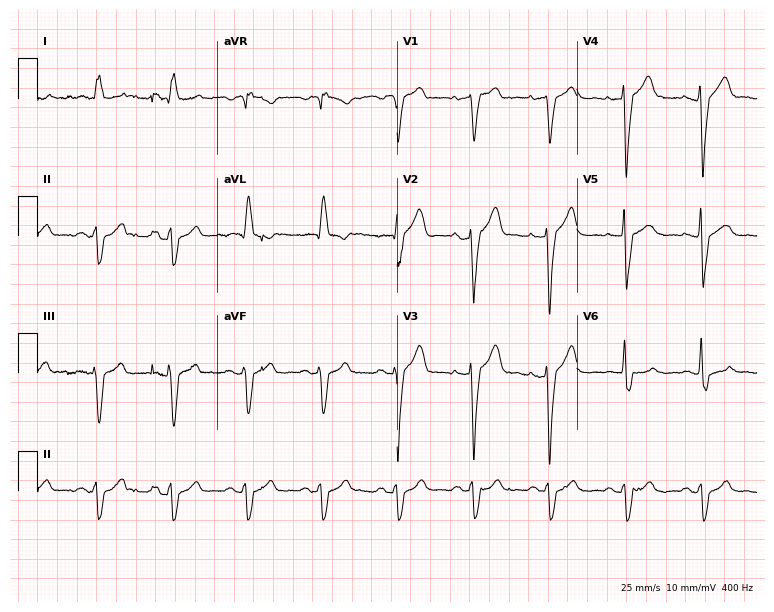
Standard 12-lead ECG recorded from a man, 74 years old (7.3-second recording at 400 Hz). None of these six findings is recorded: first-degree AV block, right bundle branch block, left bundle branch block, sinus bradycardia, atrial fibrillation, sinus tachycardia. Findings outside these six are not listed.